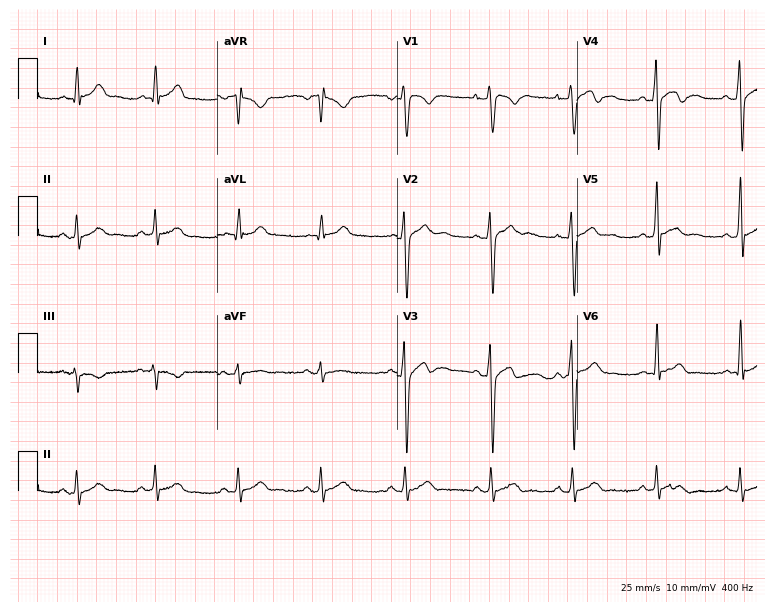
Electrocardiogram (7.3-second recording at 400 Hz), a male patient, 27 years old. Of the six screened findings (first-degree AV block, right bundle branch block, left bundle branch block, sinus bradycardia, atrial fibrillation, sinus tachycardia), none is recorded. Only these six findings were labelled.